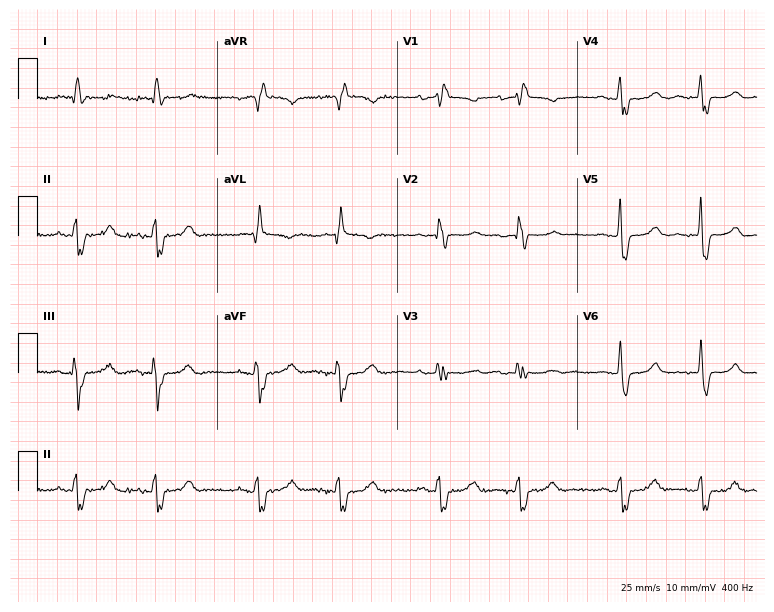
12-lead ECG (7.3-second recording at 400 Hz) from a woman, 73 years old. Findings include right bundle branch block.